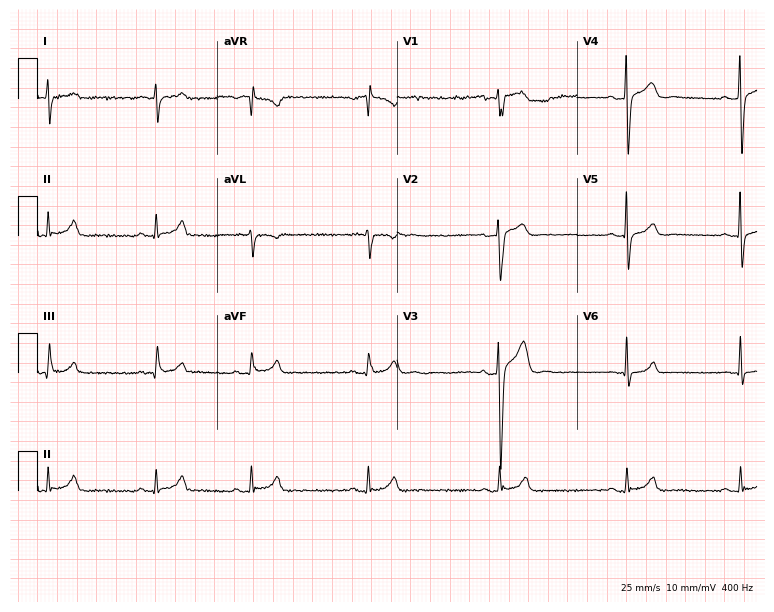
12-lead ECG (7.3-second recording at 400 Hz) from a man, 26 years old. Screened for six findings — first-degree AV block, right bundle branch block, left bundle branch block, sinus bradycardia, atrial fibrillation, sinus tachycardia — none is recorded. Only these six findings were labelled.